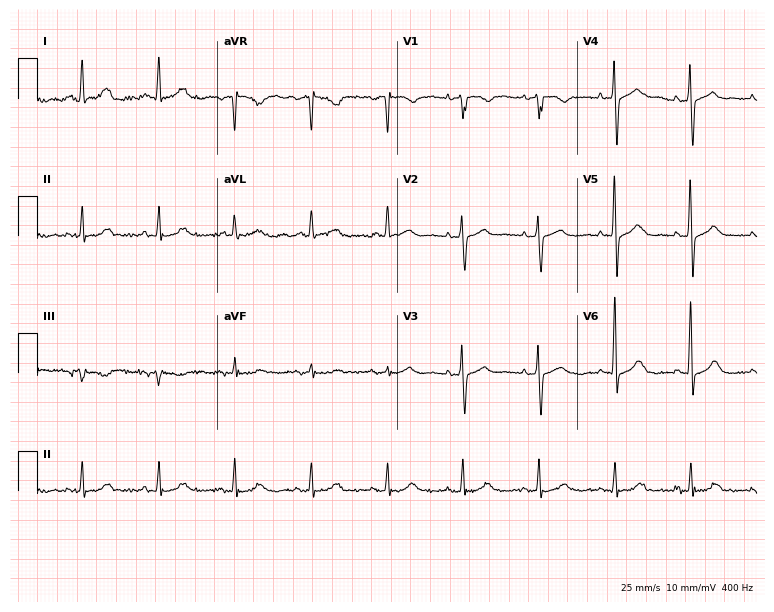
Resting 12-lead electrocardiogram (7.3-second recording at 400 Hz). Patient: a 79-year-old female. None of these six findings is recorded: first-degree AV block, right bundle branch block (RBBB), left bundle branch block (LBBB), sinus bradycardia, atrial fibrillation (AF), sinus tachycardia.